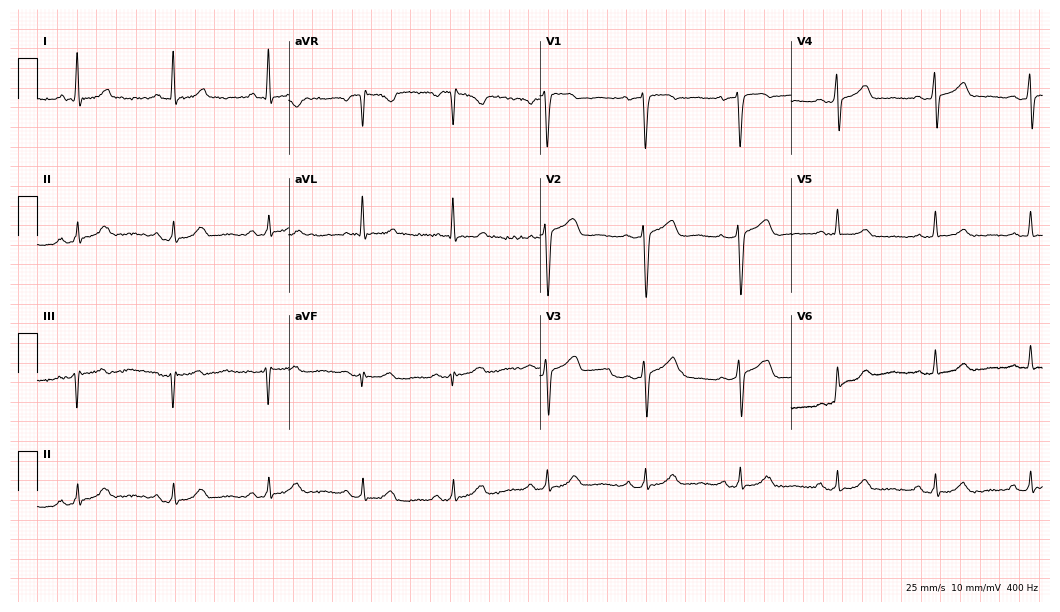
Standard 12-lead ECG recorded from a female, 56 years old. None of these six findings is recorded: first-degree AV block, right bundle branch block (RBBB), left bundle branch block (LBBB), sinus bradycardia, atrial fibrillation (AF), sinus tachycardia.